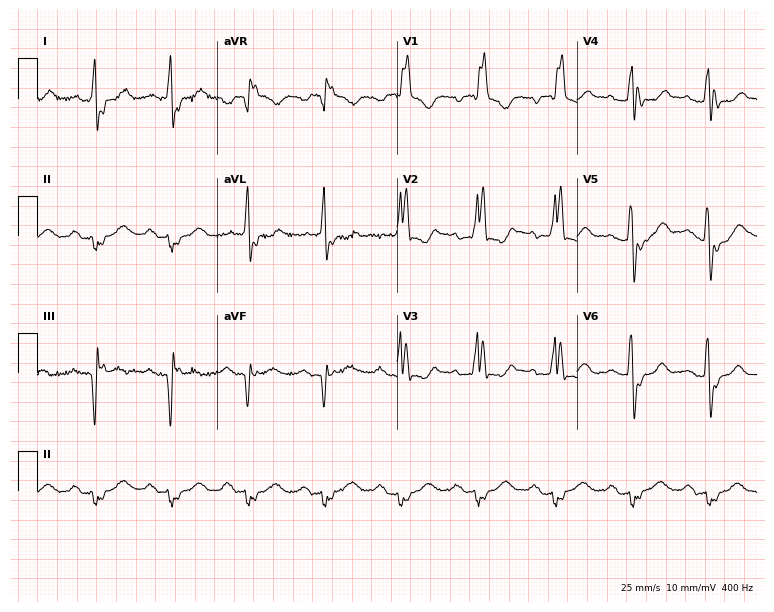
Standard 12-lead ECG recorded from a male, 72 years old. The tracing shows right bundle branch block.